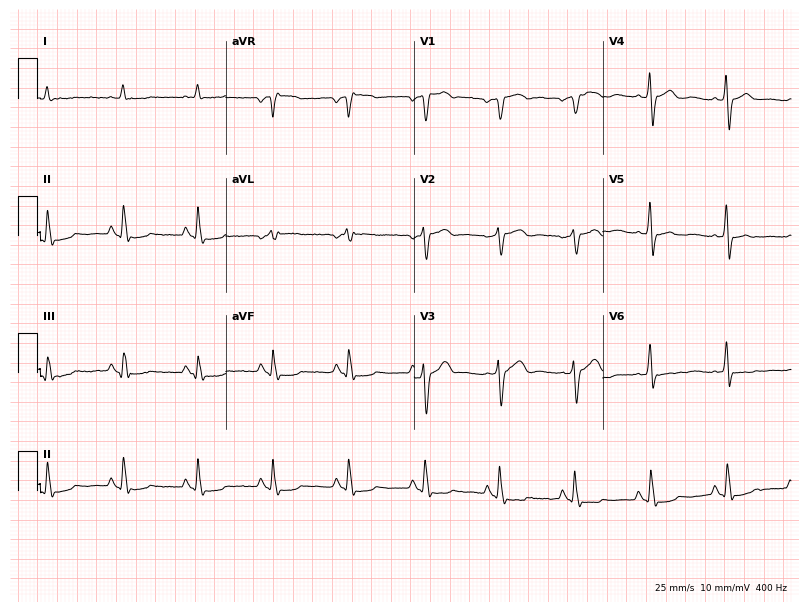
ECG — a man, 80 years old. Screened for six findings — first-degree AV block, right bundle branch block (RBBB), left bundle branch block (LBBB), sinus bradycardia, atrial fibrillation (AF), sinus tachycardia — none is recorded.